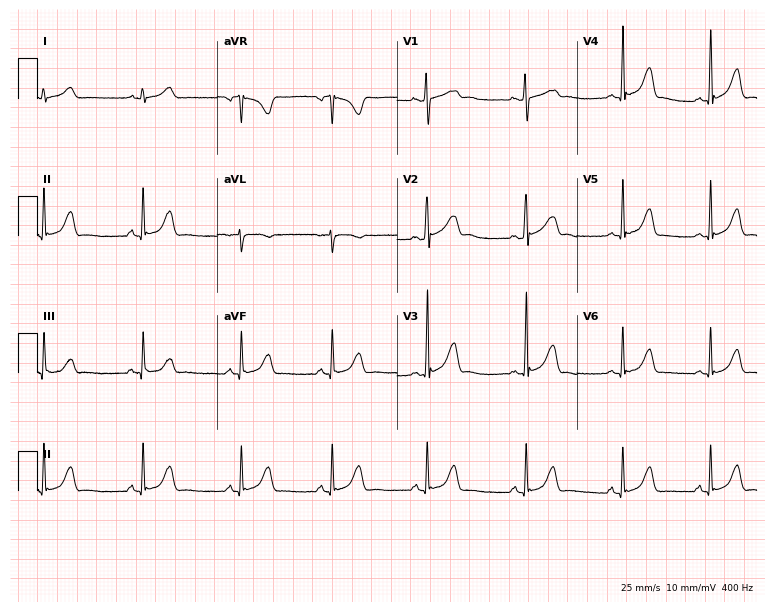
12-lead ECG from a 17-year-old woman. Recorded interpretation: within normal limits.